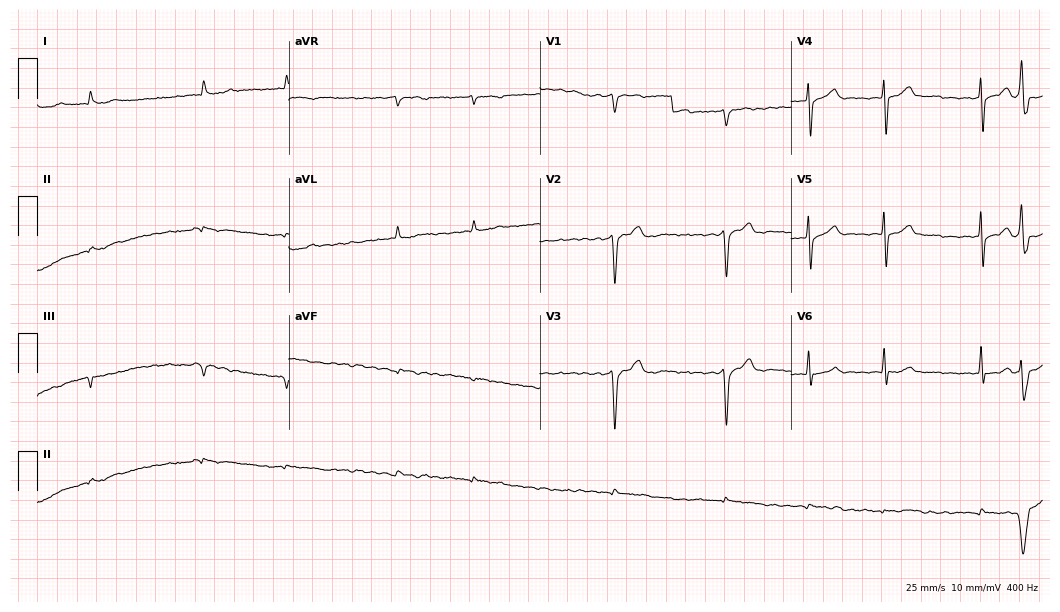
ECG — a male, 67 years old. Screened for six findings — first-degree AV block, right bundle branch block, left bundle branch block, sinus bradycardia, atrial fibrillation, sinus tachycardia — none is recorded. Only these six findings were labelled.